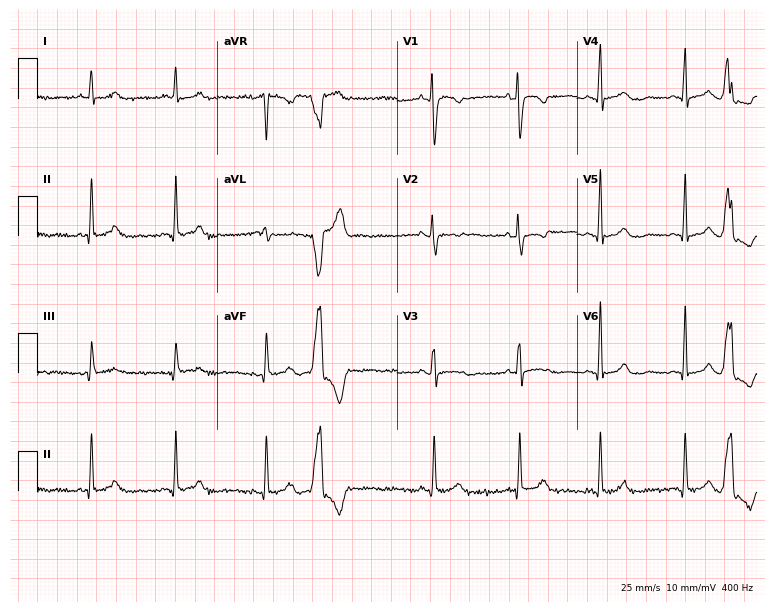
Electrocardiogram (7.3-second recording at 400 Hz), a 47-year-old female. Of the six screened findings (first-degree AV block, right bundle branch block, left bundle branch block, sinus bradycardia, atrial fibrillation, sinus tachycardia), none is recorded. Findings outside these six are not listed.